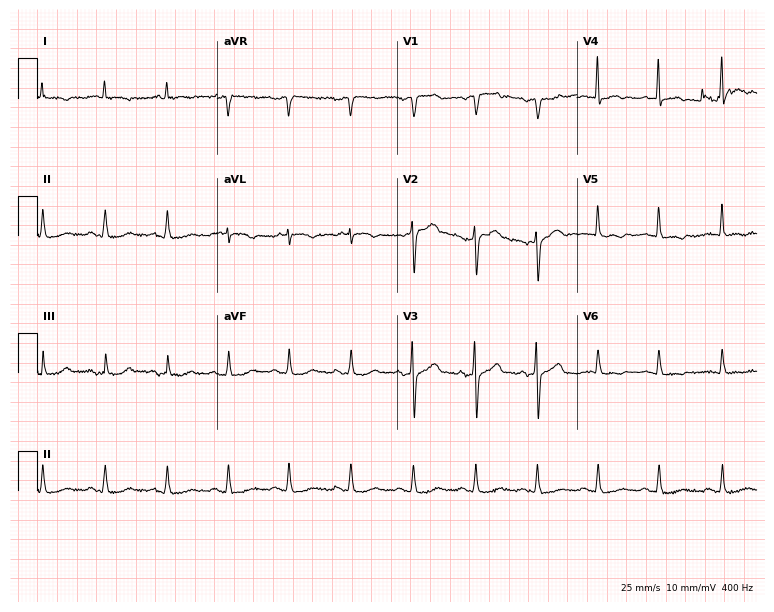
12-lead ECG from an 81-year-old man. Screened for six findings — first-degree AV block, right bundle branch block, left bundle branch block, sinus bradycardia, atrial fibrillation, sinus tachycardia — none is recorded. Other findings, if any, are not listed.